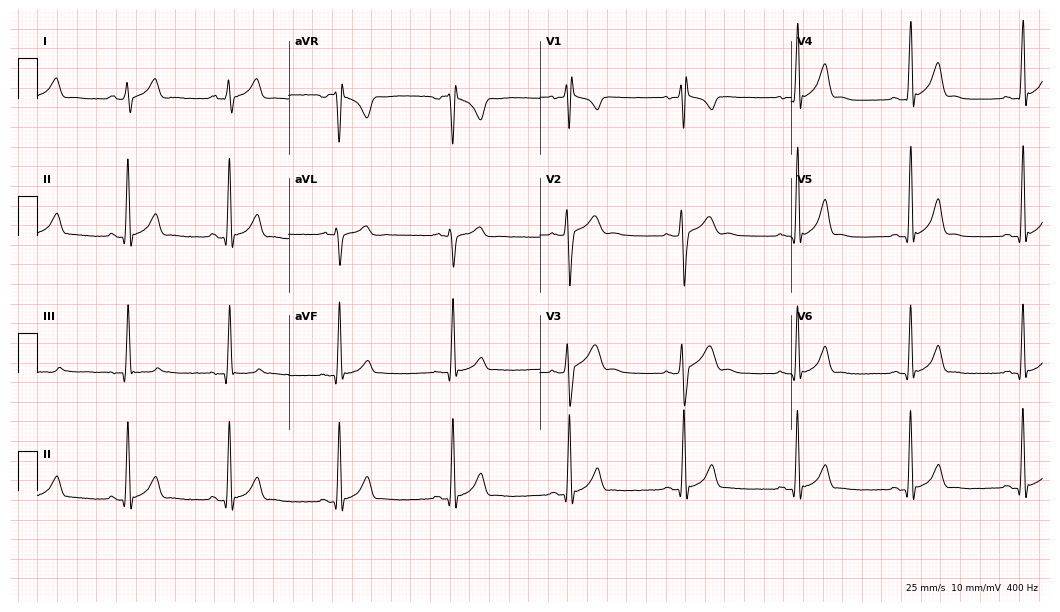
Standard 12-lead ECG recorded from an 18-year-old female. None of these six findings is recorded: first-degree AV block, right bundle branch block, left bundle branch block, sinus bradycardia, atrial fibrillation, sinus tachycardia.